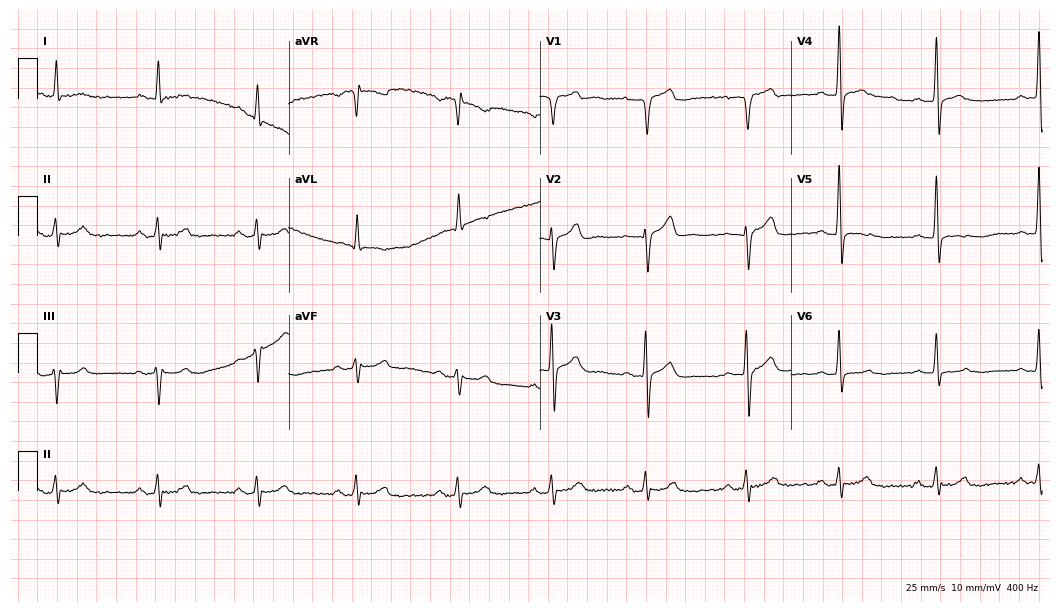
ECG — a 41-year-old man. Screened for six findings — first-degree AV block, right bundle branch block, left bundle branch block, sinus bradycardia, atrial fibrillation, sinus tachycardia — none is recorded. Findings outside these six are not listed.